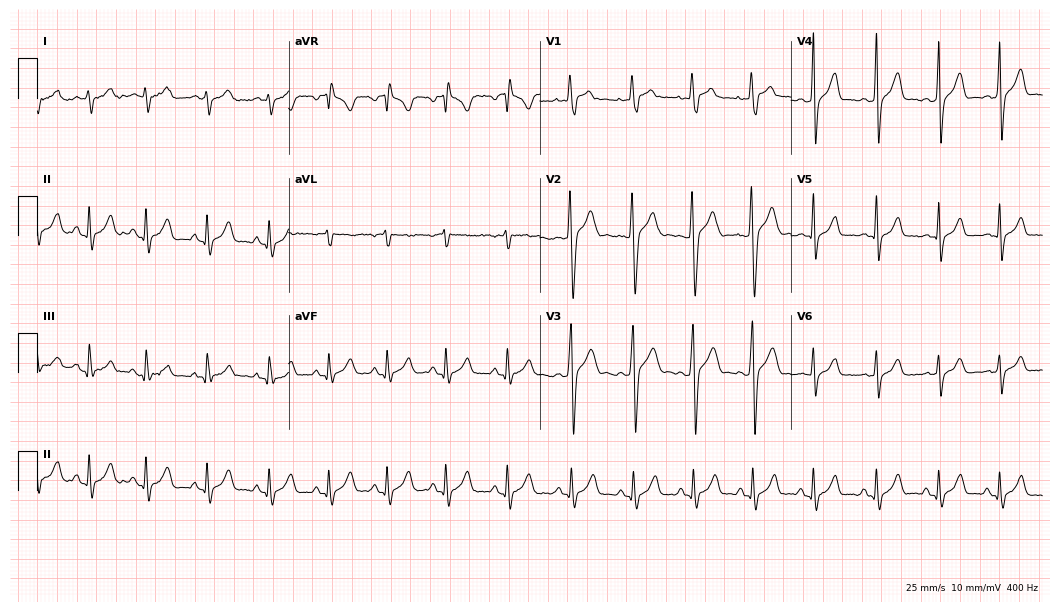
ECG — a 19-year-old man. Labelled as a normal ECG.